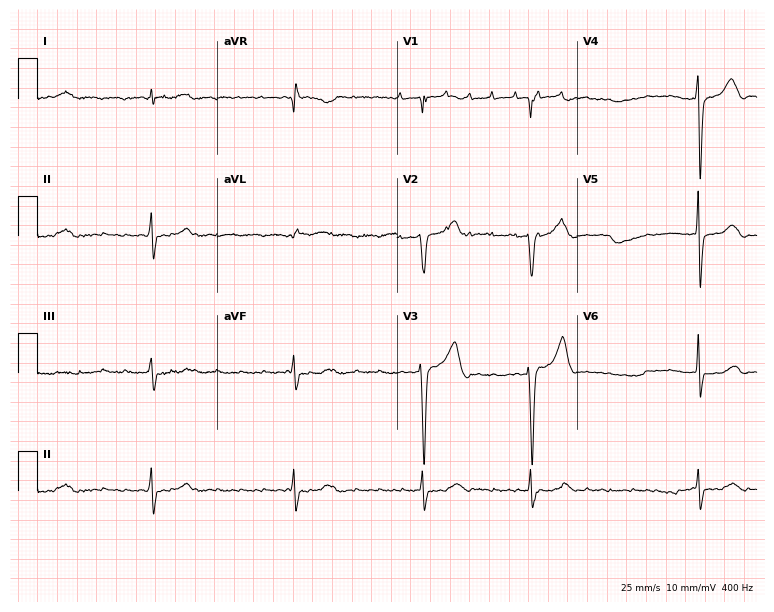
Resting 12-lead electrocardiogram (7.3-second recording at 400 Hz). Patient: a man, 78 years old. None of these six findings is recorded: first-degree AV block, right bundle branch block (RBBB), left bundle branch block (LBBB), sinus bradycardia, atrial fibrillation (AF), sinus tachycardia.